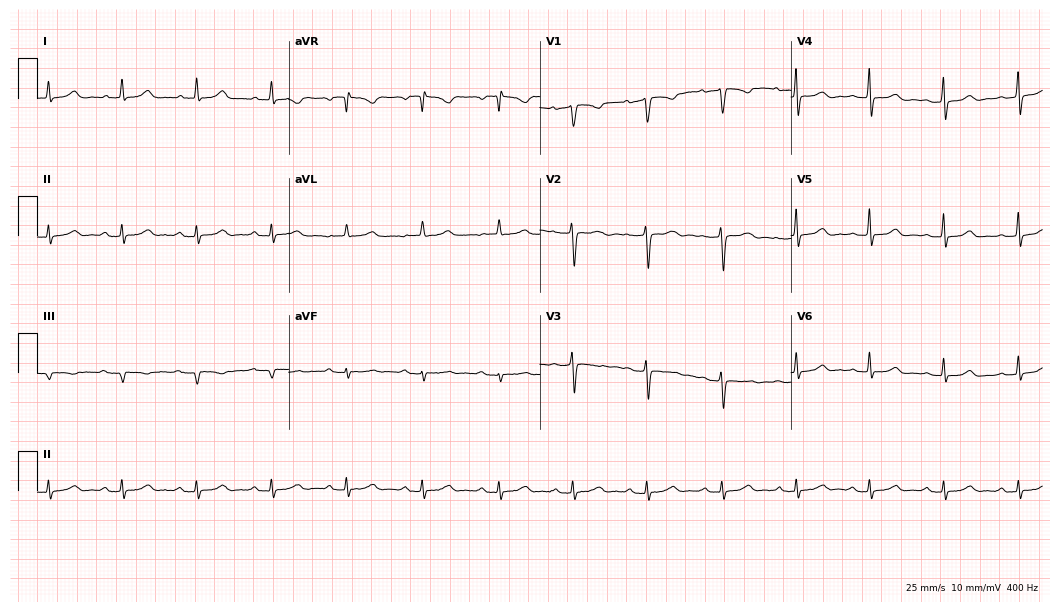
Electrocardiogram, a woman, 46 years old. Interpretation includes first-degree AV block.